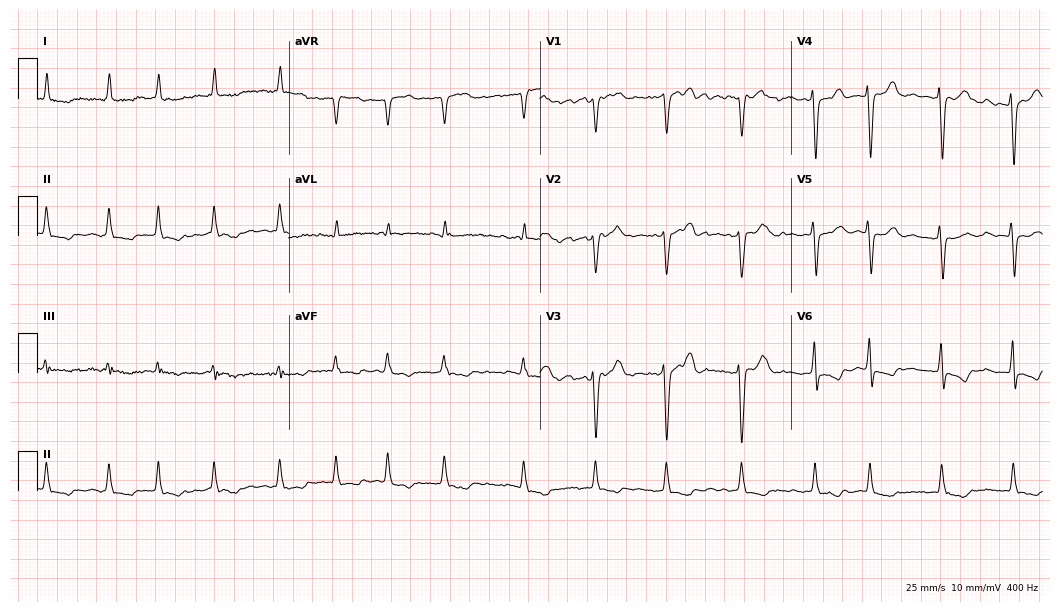
Resting 12-lead electrocardiogram (10.2-second recording at 400 Hz). Patient: a female, 73 years old. None of these six findings is recorded: first-degree AV block, right bundle branch block, left bundle branch block, sinus bradycardia, atrial fibrillation, sinus tachycardia.